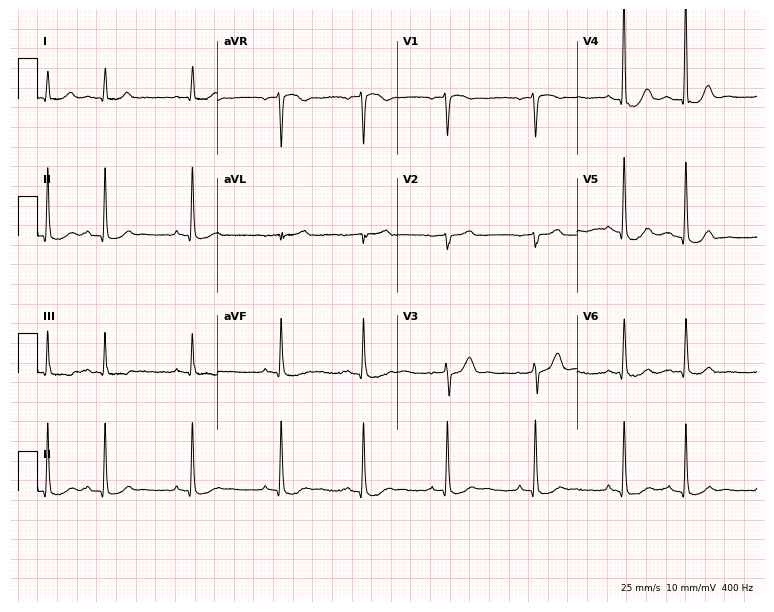
Standard 12-lead ECG recorded from a 56-year-old male (7.3-second recording at 400 Hz). Read as a normal ECG.